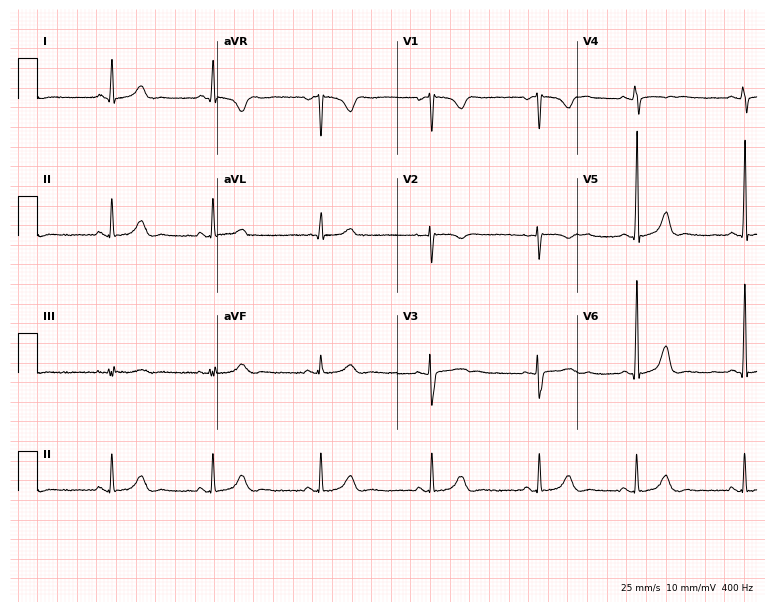
12-lead ECG from a woman, 31 years old (7.3-second recording at 400 Hz). No first-degree AV block, right bundle branch block, left bundle branch block, sinus bradycardia, atrial fibrillation or sinus tachycardia recorded for this tracing. Only these six findings were labelled.